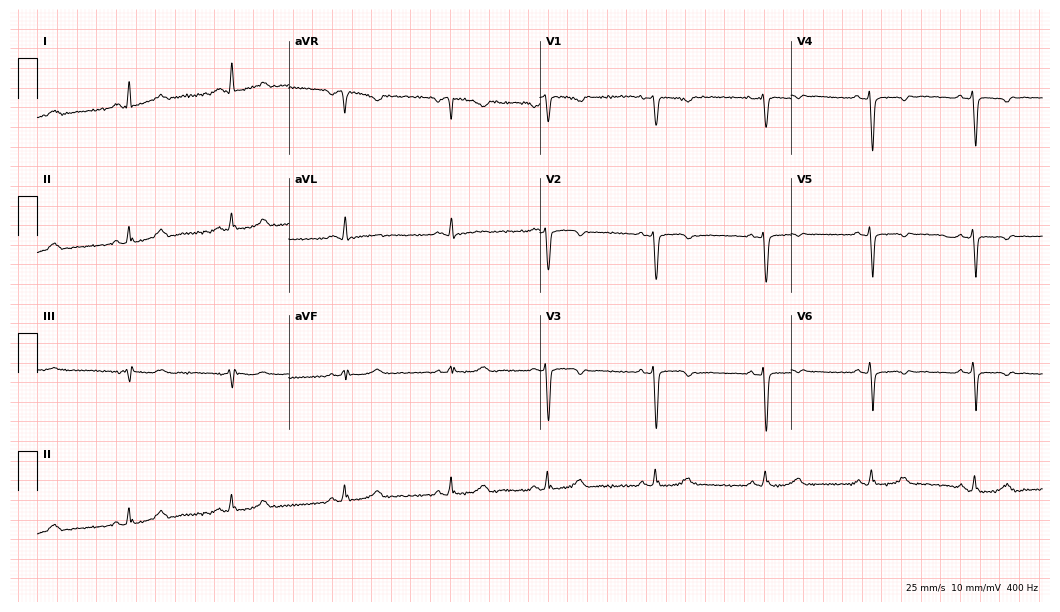
ECG — a 30-year-old female. Screened for six findings — first-degree AV block, right bundle branch block, left bundle branch block, sinus bradycardia, atrial fibrillation, sinus tachycardia — none is recorded.